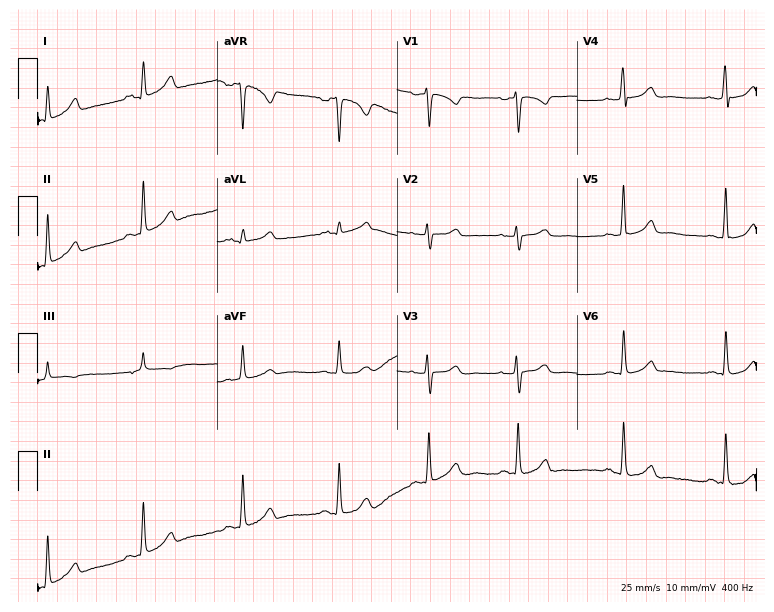
Standard 12-lead ECG recorded from a 28-year-old female patient. None of these six findings is recorded: first-degree AV block, right bundle branch block, left bundle branch block, sinus bradycardia, atrial fibrillation, sinus tachycardia.